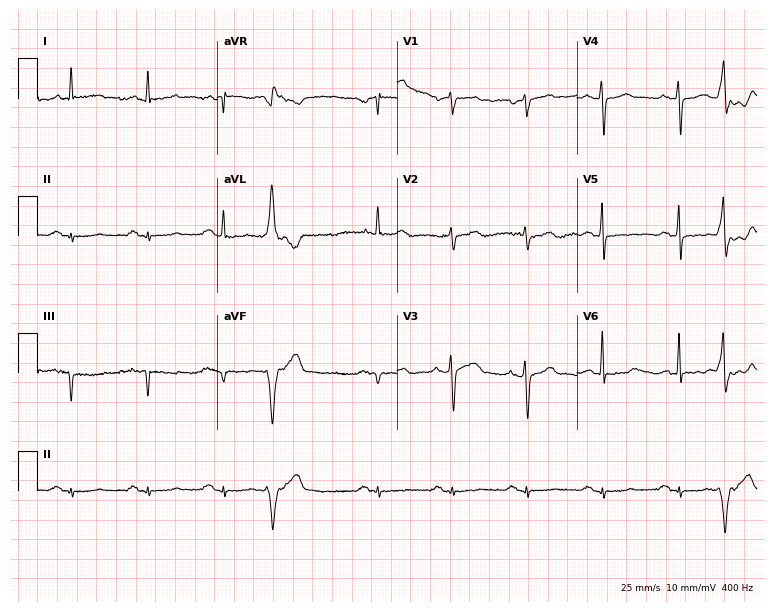
Standard 12-lead ECG recorded from a 75-year-old man. None of these six findings is recorded: first-degree AV block, right bundle branch block (RBBB), left bundle branch block (LBBB), sinus bradycardia, atrial fibrillation (AF), sinus tachycardia. Only these six findings were labelled.